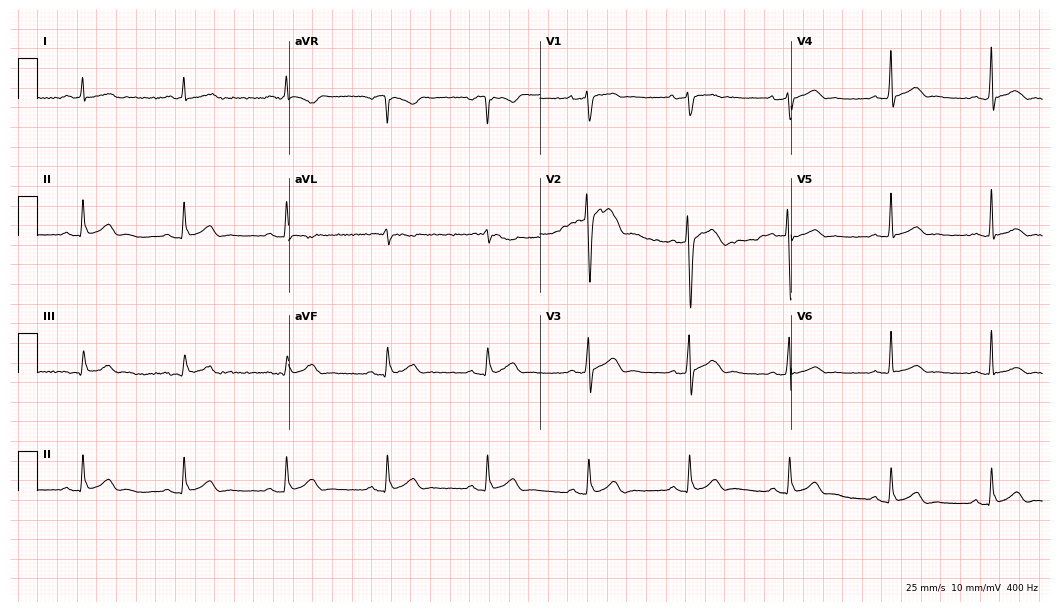
Electrocardiogram (10.2-second recording at 400 Hz), a 47-year-old male. Of the six screened findings (first-degree AV block, right bundle branch block (RBBB), left bundle branch block (LBBB), sinus bradycardia, atrial fibrillation (AF), sinus tachycardia), none is recorded. Other findings, if any, are not listed.